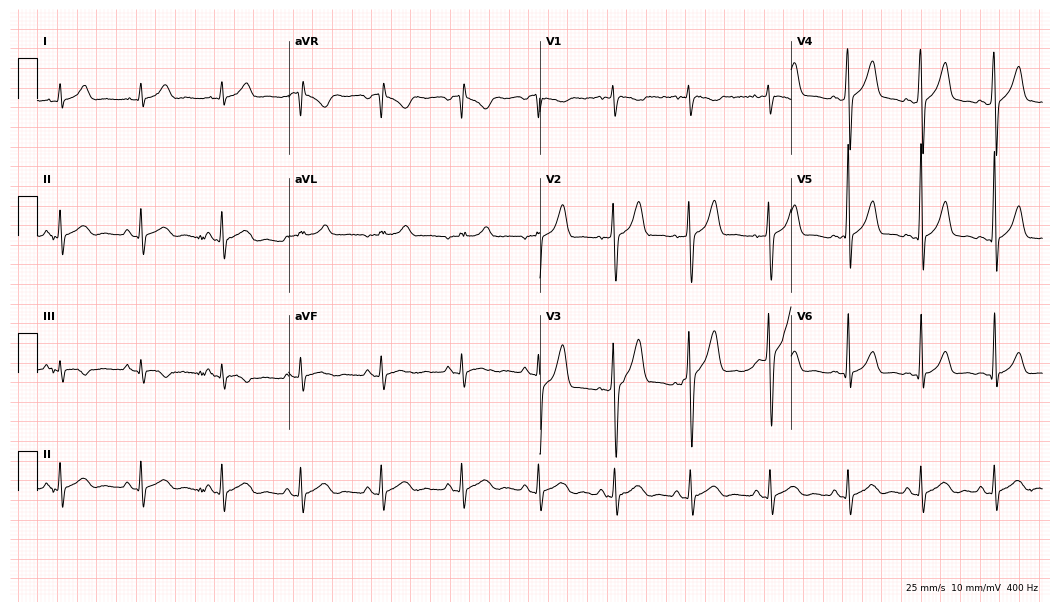
12-lead ECG from a 30-year-old man. No first-degree AV block, right bundle branch block, left bundle branch block, sinus bradycardia, atrial fibrillation or sinus tachycardia recorded for this tracing. Other findings, if any, are not listed.